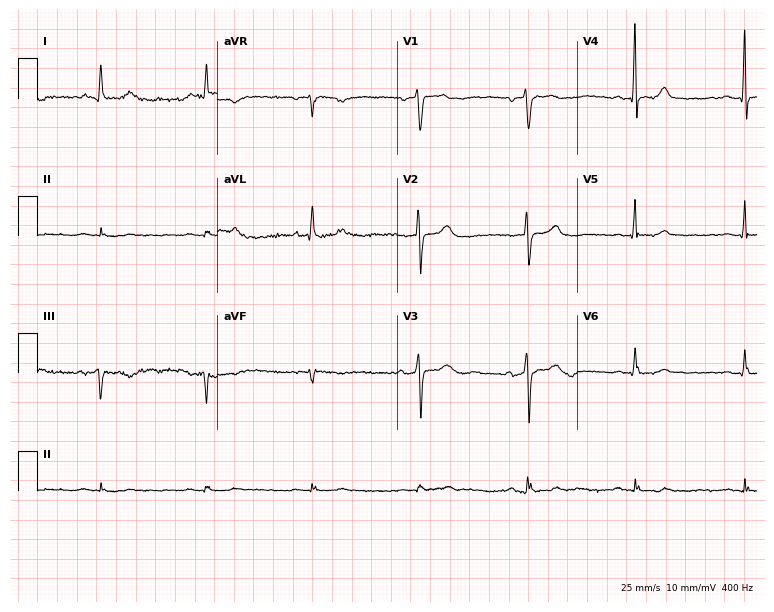
12-lead ECG from an 81-year-old male (7.3-second recording at 400 Hz). No first-degree AV block, right bundle branch block (RBBB), left bundle branch block (LBBB), sinus bradycardia, atrial fibrillation (AF) or sinus tachycardia recorded for this tracing. Only these six findings were labelled.